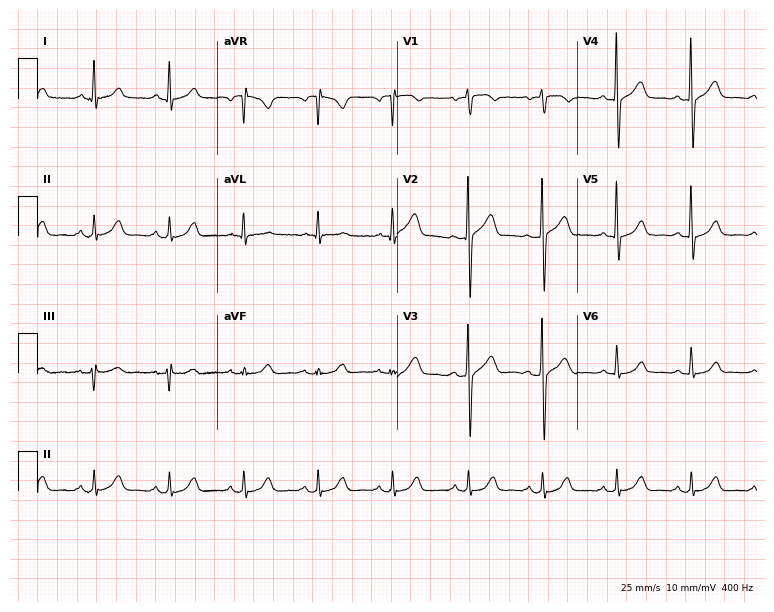
Resting 12-lead electrocardiogram (7.3-second recording at 400 Hz). Patient: a 61-year-old man. Read as a normal ECG.